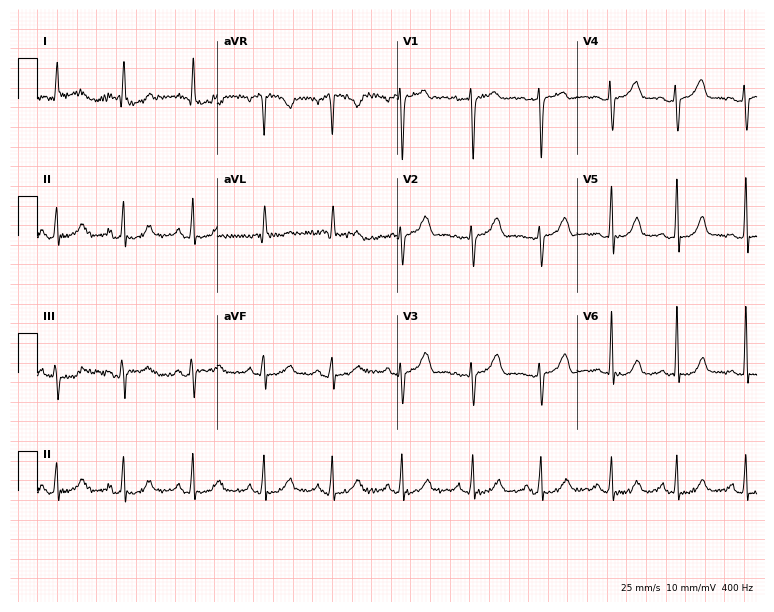
Electrocardiogram, a 33-year-old female. Overall reading on record: normal ECG.